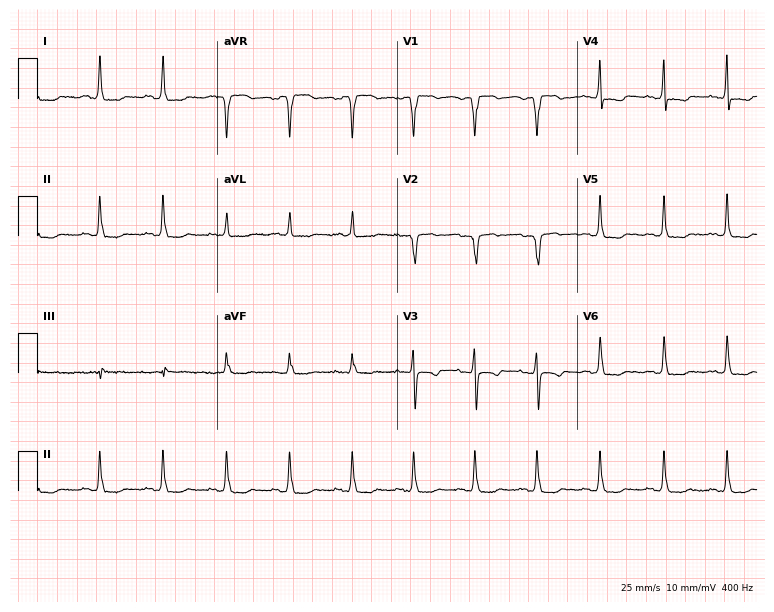
12-lead ECG (7.3-second recording at 400 Hz) from a female, 47 years old. Labelled as a normal ECG.